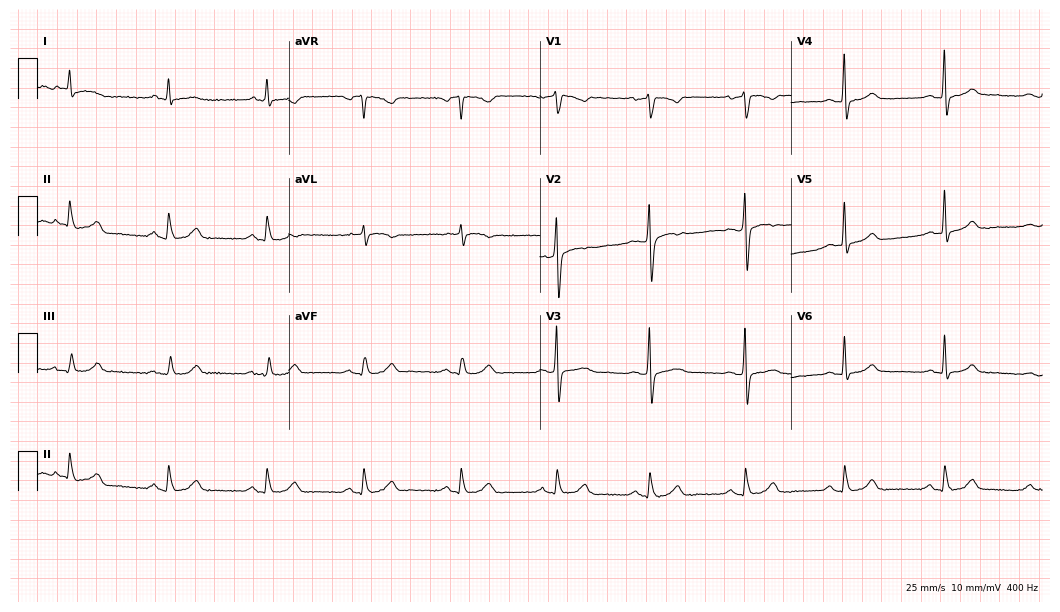
12-lead ECG from a 53-year-old male. Labelled as a normal ECG.